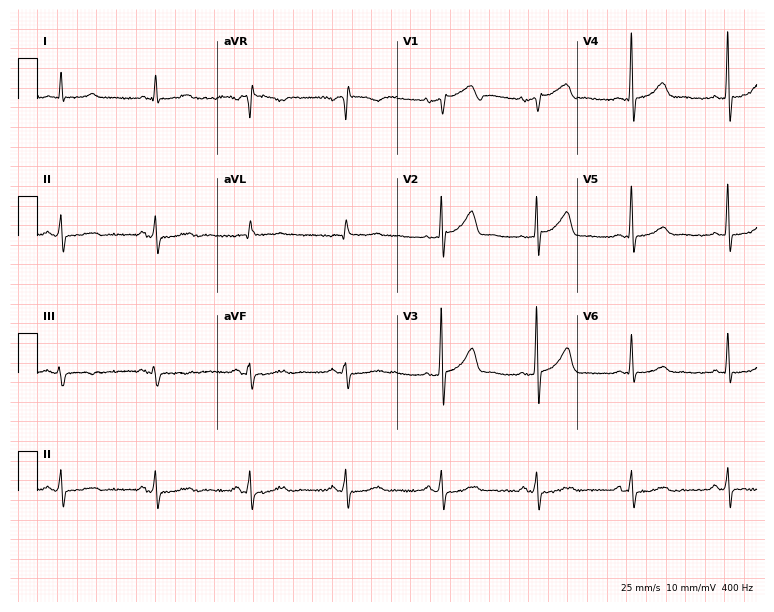
12-lead ECG (7.3-second recording at 400 Hz) from a man, 63 years old. Screened for six findings — first-degree AV block, right bundle branch block (RBBB), left bundle branch block (LBBB), sinus bradycardia, atrial fibrillation (AF), sinus tachycardia — none is recorded.